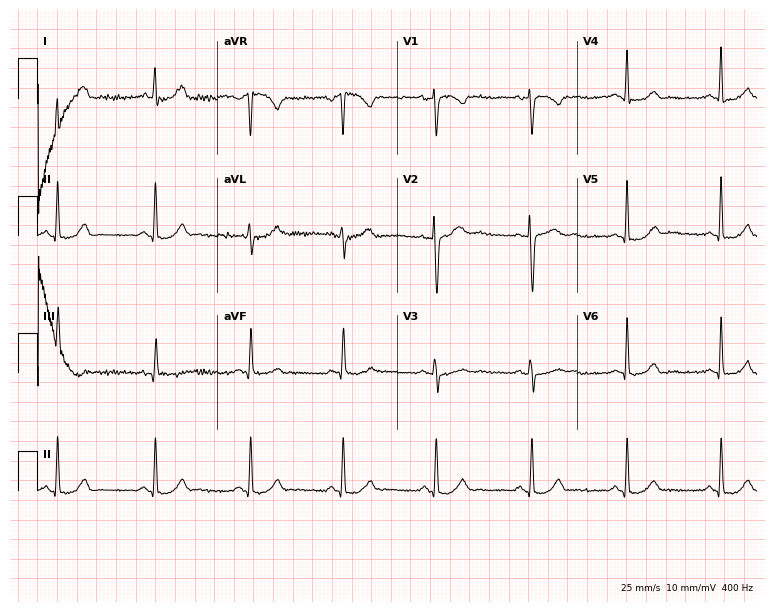
12-lead ECG (7.3-second recording at 400 Hz) from a female, 46 years old. Screened for six findings — first-degree AV block, right bundle branch block (RBBB), left bundle branch block (LBBB), sinus bradycardia, atrial fibrillation (AF), sinus tachycardia — none is recorded. Findings outside these six are not listed.